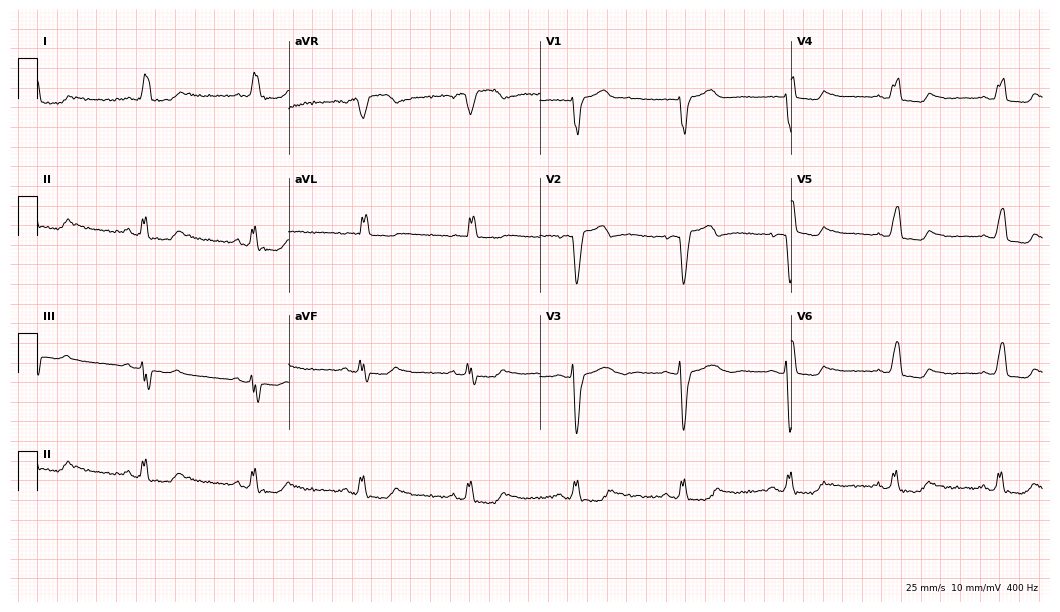
Electrocardiogram (10.2-second recording at 400 Hz), a female patient, 69 years old. Interpretation includes left bundle branch block (LBBB).